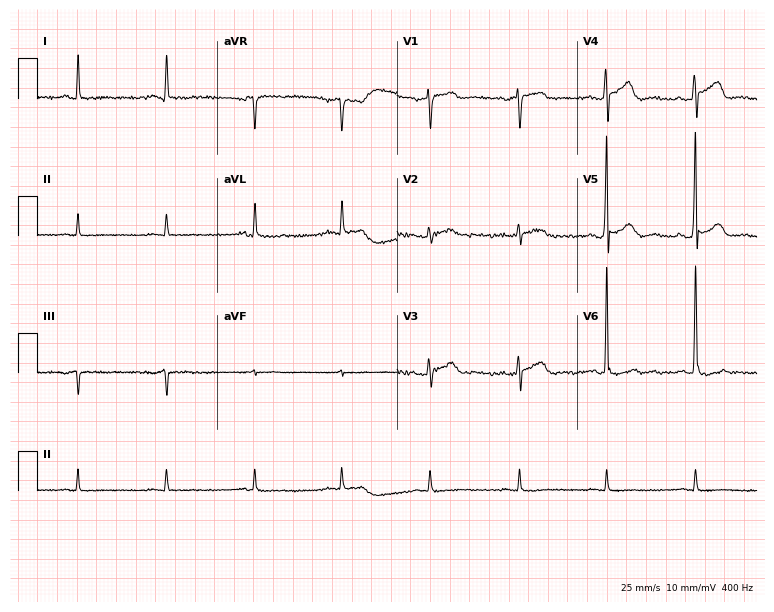
12-lead ECG from an 80-year-old woman (7.3-second recording at 400 Hz). No first-degree AV block, right bundle branch block, left bundle branch block, sinus bradycardia, atrial fibrillation or sinus tachycardia recorded for this tracing.